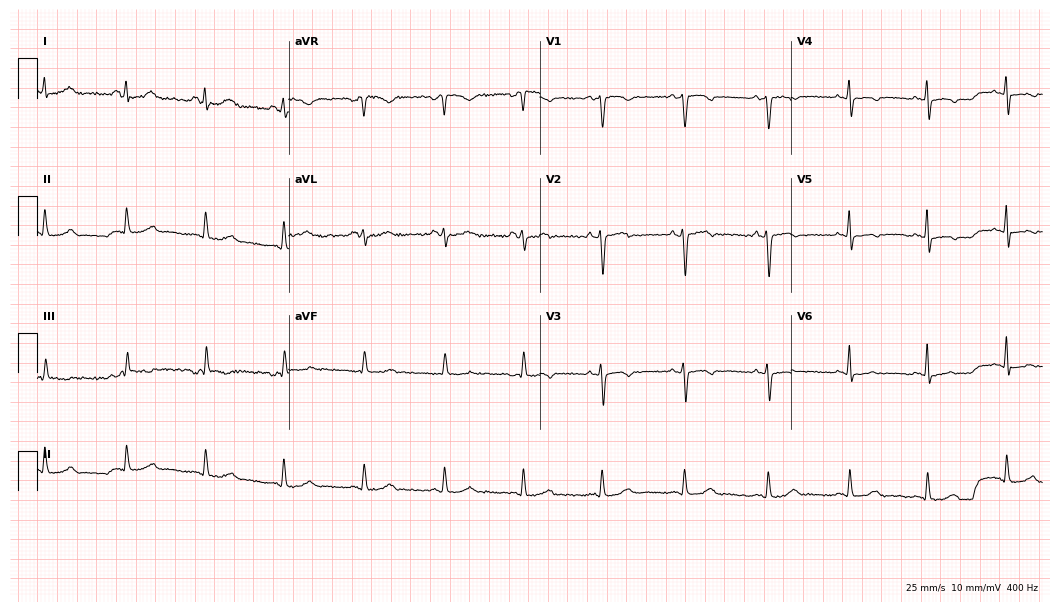
Electrocardiogram (10.2-second recording at 400 Hz), a 50-year-old female. Of the six screened findings (first-degree AV block, right bundle branch block, left bundle branch block, sinus bradycardia, atrial fibrillation, sinus tachycardia), none is recorded. Only these six findings were labelled.